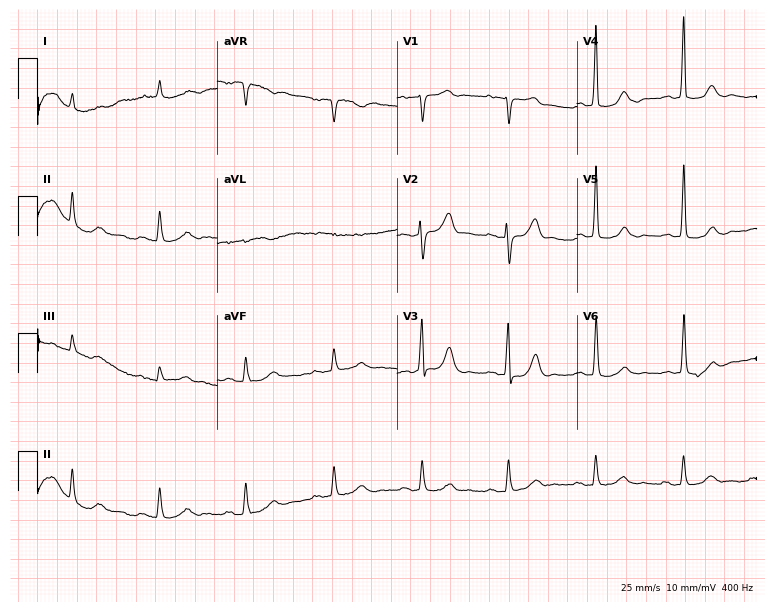
Resting 12-lead electrocardiogram (7.3-second recording at 400 Hz). Patient: a male, 84 years old. None of these six findings is recorded: first-degree AV block, right bundle branch block (RBBB), left bundle branch block (LBBB), sinus bradycardia, atrial fibrillation (AF), sinus tachycardia. Other findings, if any, are not listed.